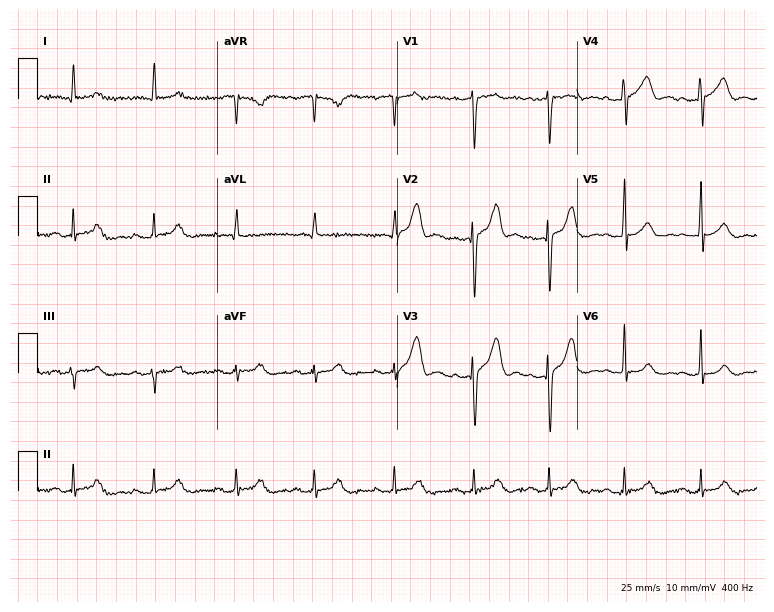
12-lead ECG from a male, 69 years old. Screened for six findings — first-degree AV block, right bundle branch block, left bundle branch block, sinus bradycardia, atrial fibrillation, sinus tachycardia — none is recorded.